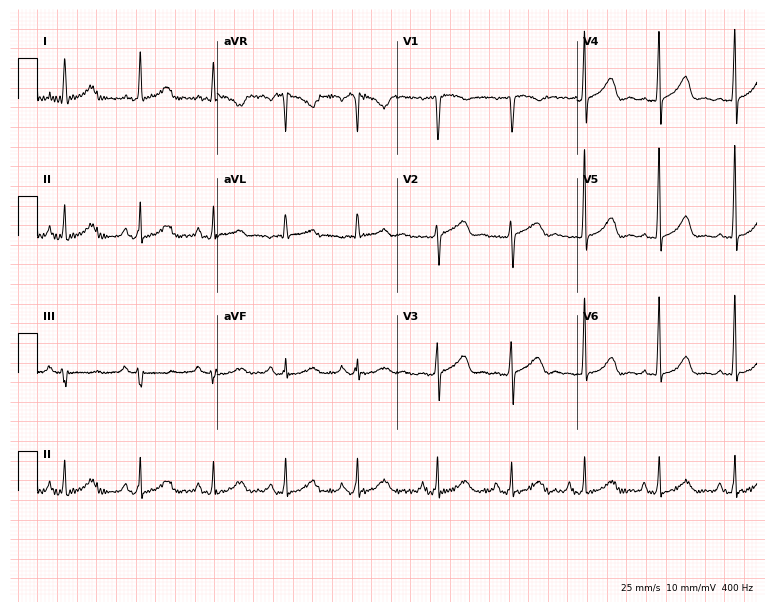
ECG — a 56-year-old woman. Labelled as a normal ECG.